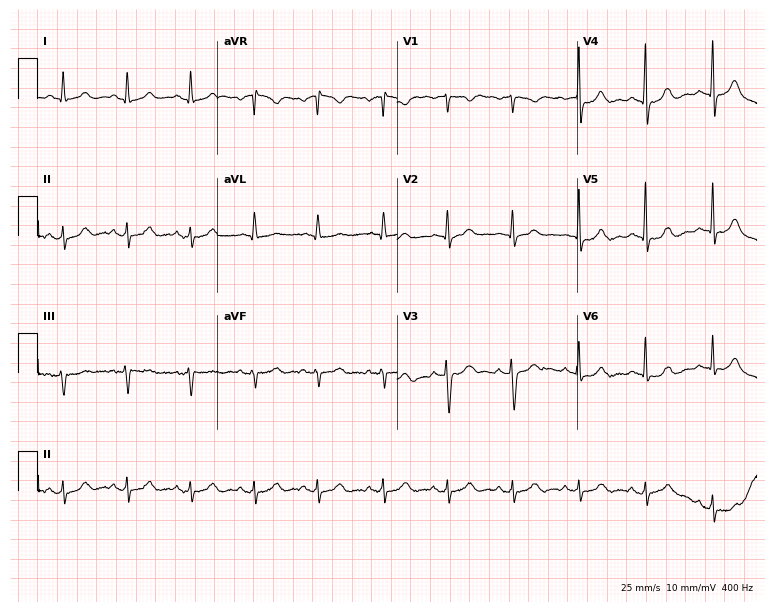
Standard 12-lead ECG recorded from an 85-year-old male. Read as a normal ECG.